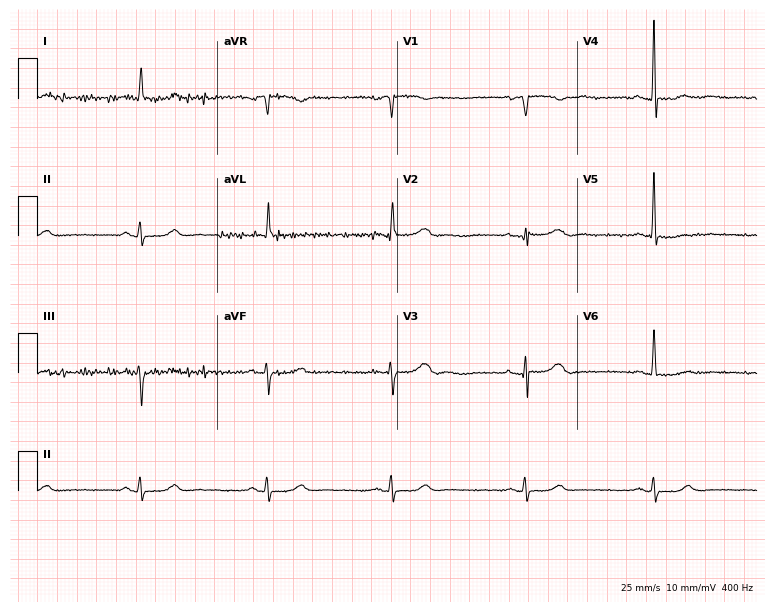
Resting 12-lead electrocardiogram (7.3-second recording at 400 Hz). Patient: a 79-year-old female. The tracing shows sinus bradycardia (a sinus rate of 50 beats per minute or less).